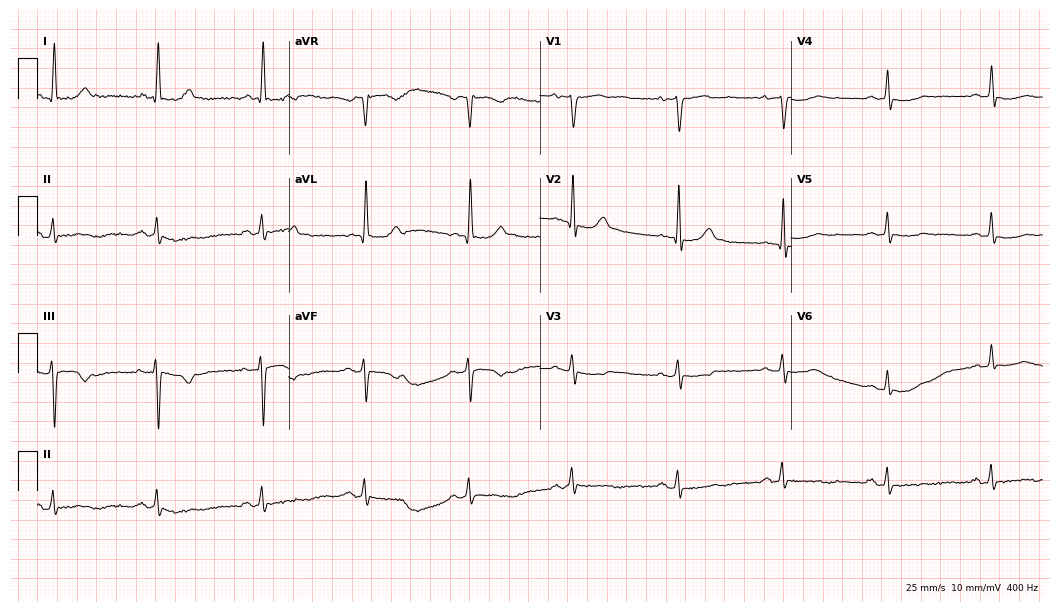
Electrocardiogram, a 68-year-old woman. Of the six screened findings (first-degree AV block, right bundle branch block, left bundle branch block, sinus bradycardia, atrial fibrillation, sinus tachycardia), none is recorded.